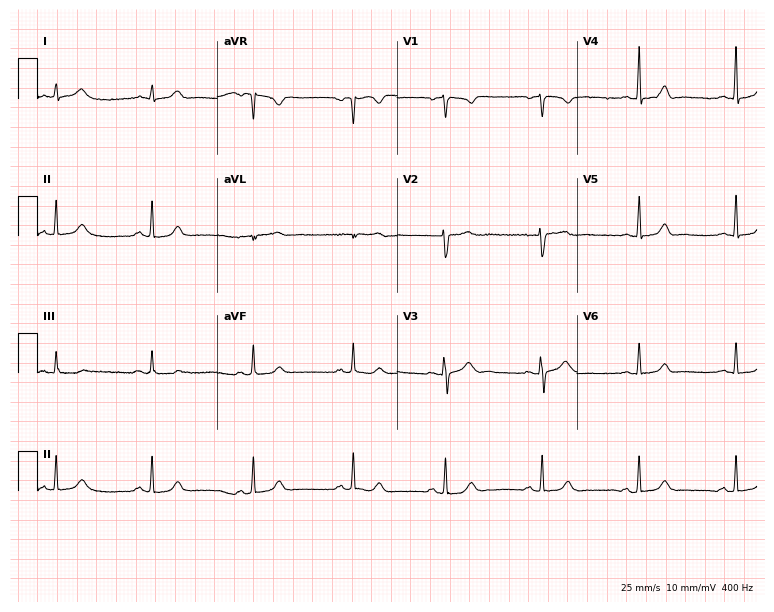
12-lead ECG (7.3-second recording at 400 Hz) from a female patient, 26 years old. Screened for six findings — first-degree AV block, right bundle branch block (RBBB), left bundle branch block (LBBB), sinus bradycardia, atrial fibrillation (AF), sinus tachycardia — none is recorded. Only these six findings were labelled.